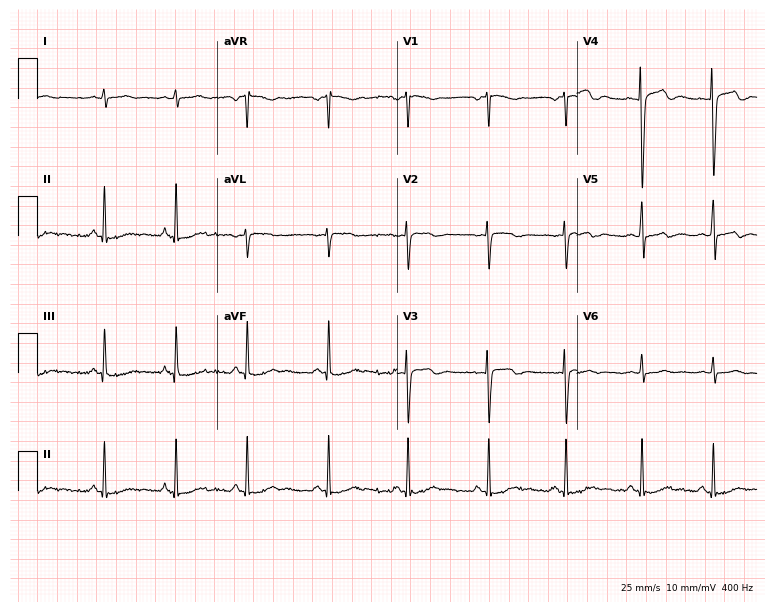
12-lead ECG from a female, 22 years old. Labelled as a normal ECG.